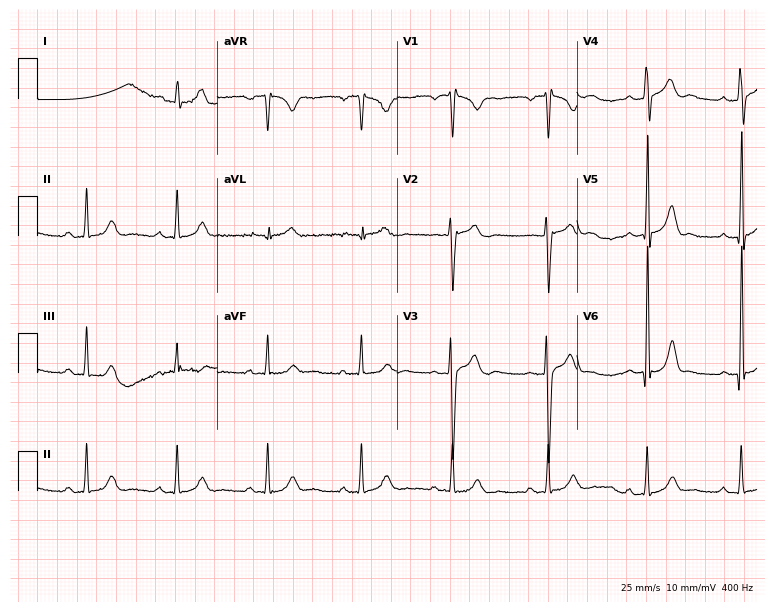
Standard 12-lead ECG recorded from a 23-year-old male (7.3-second recording at 400 Hz). None of these six findings is recorded: first-degree AV block, right bundle branch block (RBBB), left bundle branch block (LBBB), sinus bradycardia, atrial fibrillation (AF), sinus tachycardia. Only these six findings were labelled.